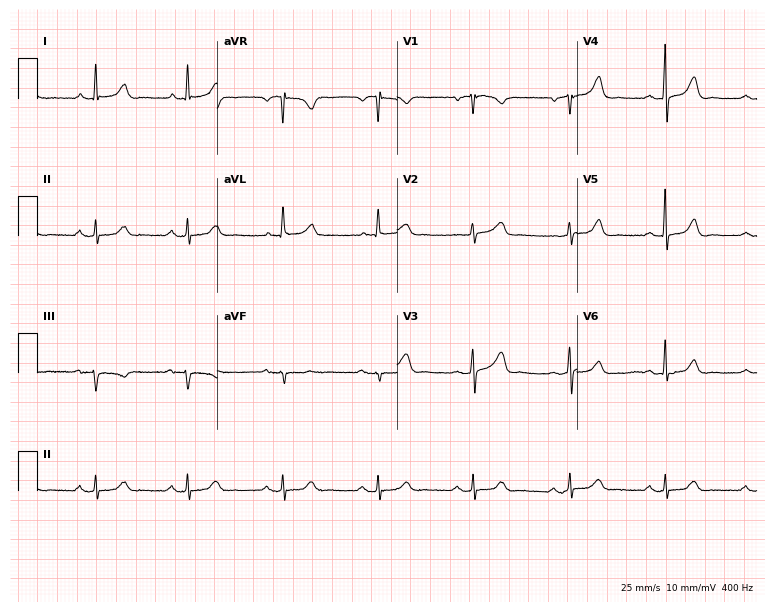
12-lead ECG (7.3-second recording at 400 Hz) from a 68-year-old woman. Labelled as a normal ECG.